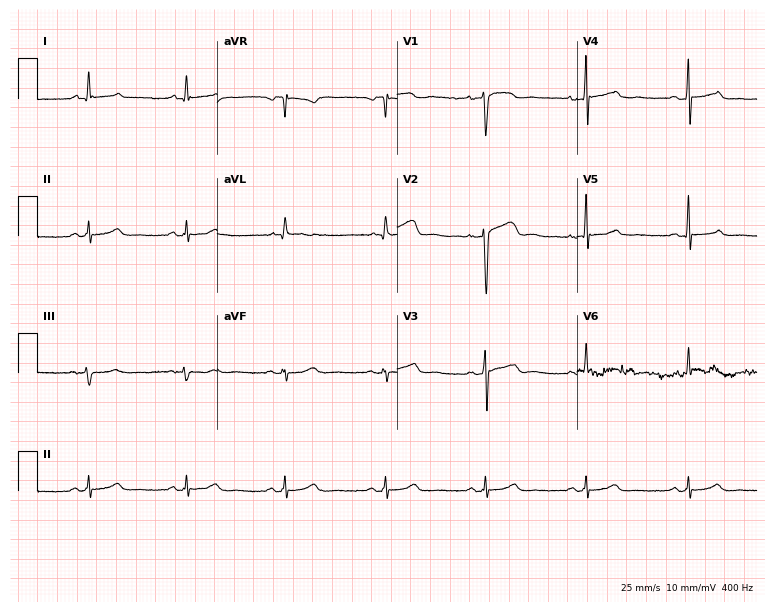
ECG — a 63-year-old male. Labelled as a normal ECG.